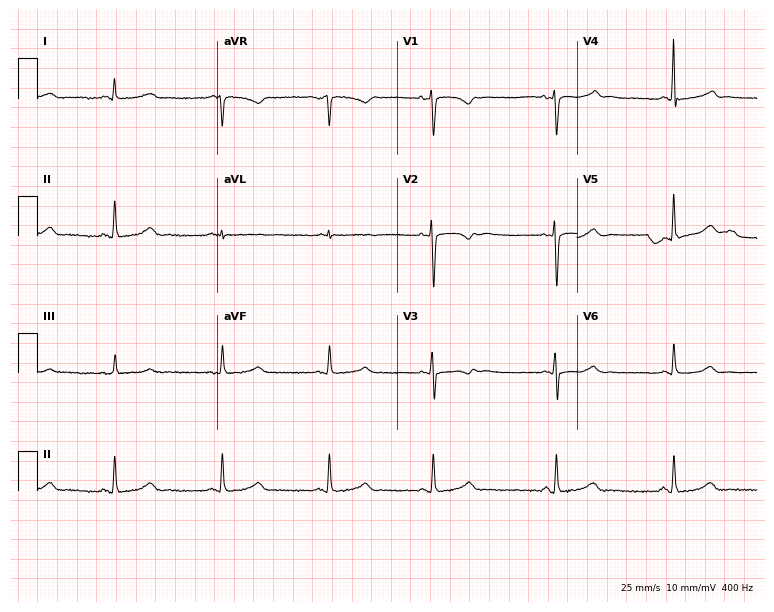
Resting 12-lead electrocardiogram (7.3-second recording at 400 Hz). Patient: a 45-year-old woman. None of these six findings is recorded: first-degree AV block, right bundle branch block, left bundle branch block, sinus bradycardia, atrial fibrillation, sinus tachycardia. Only these six findings were labelled.